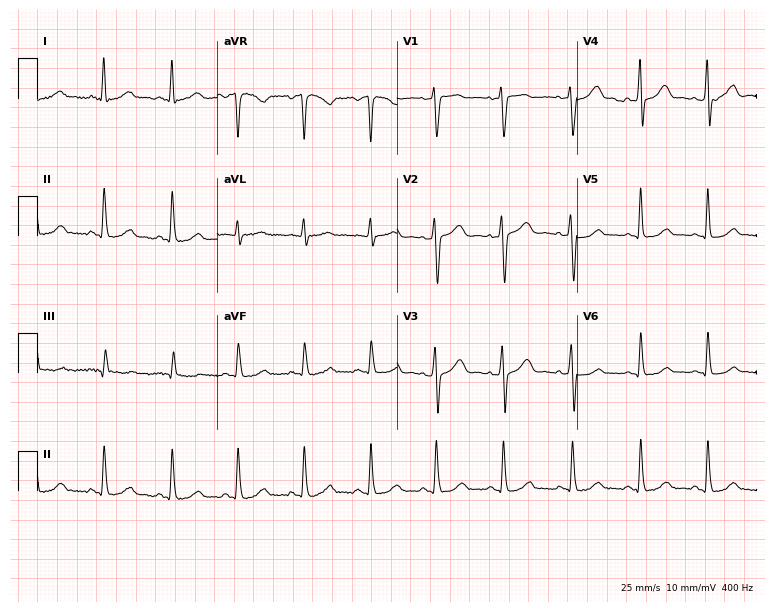
12-lead ECG from a 33-year-old female. No first-degree AV block, right bundle branch block, left bundle branch block, sinus bradycardia, atrial fibrillation or sinus tachycardia recorded for this tracing.